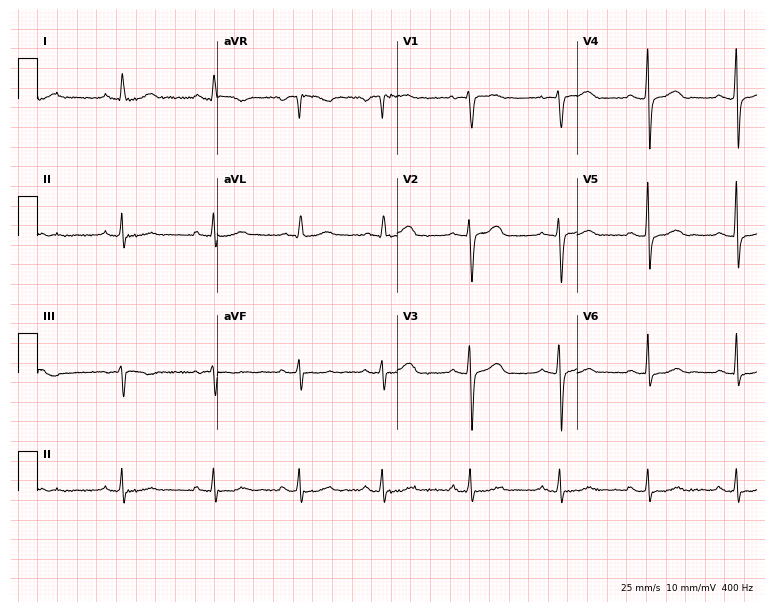
Standard 12-lead ECG recorded from a female, 55 years old. Read as a normal ECG.